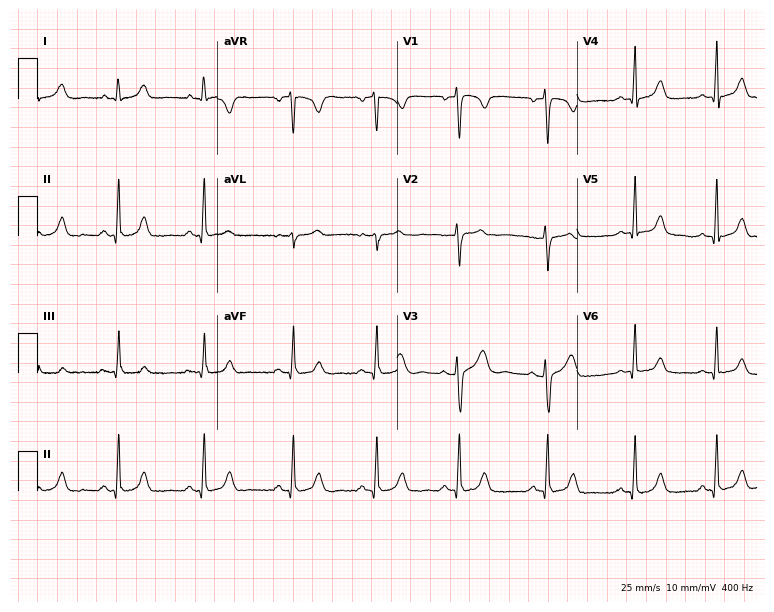
12-lead ECG from a 29-year-old woman. Labelled as a normal ECG.